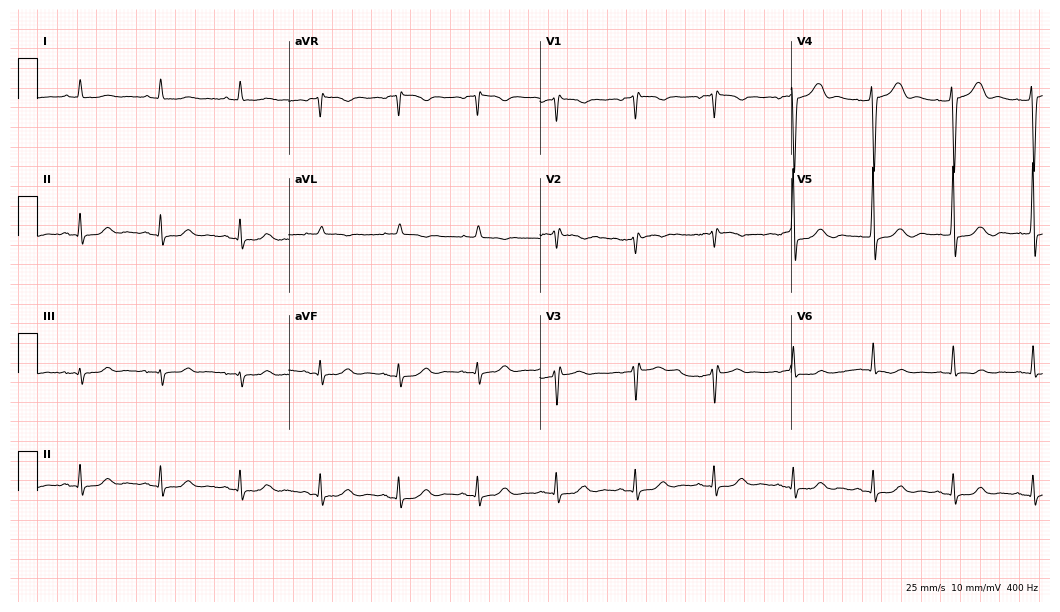
Electrocardiogram (10.2-second recording at 400 Hz), a male, 81 years old. Overall reading on record: normal ECG.